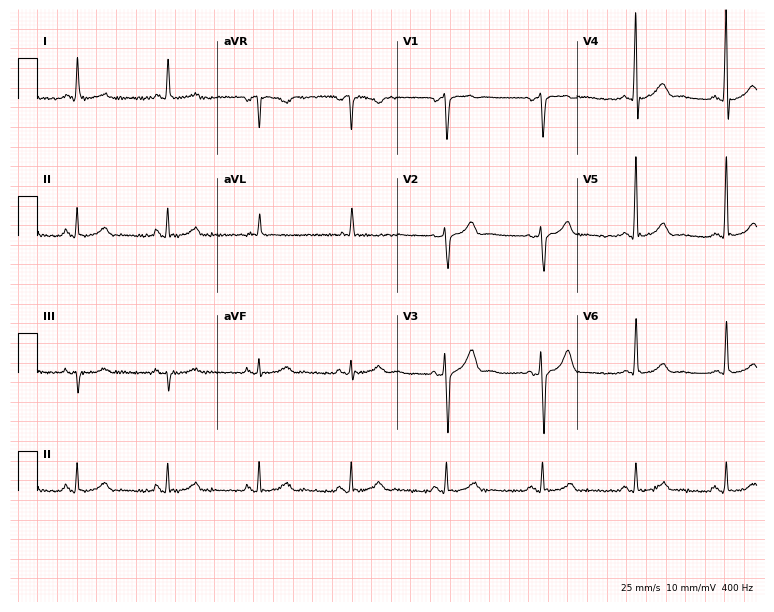
Standard 12-lead ECG recorded from a 56-year-old man (7.3-second recording at 400 Hz). None of these six findings is recorded: first-degree AV block, right bundle branch block (RBBB), left bundle branch block (LBBB), sinus bradycardia, atrial fibrillation (AF), sinus tachycardia.